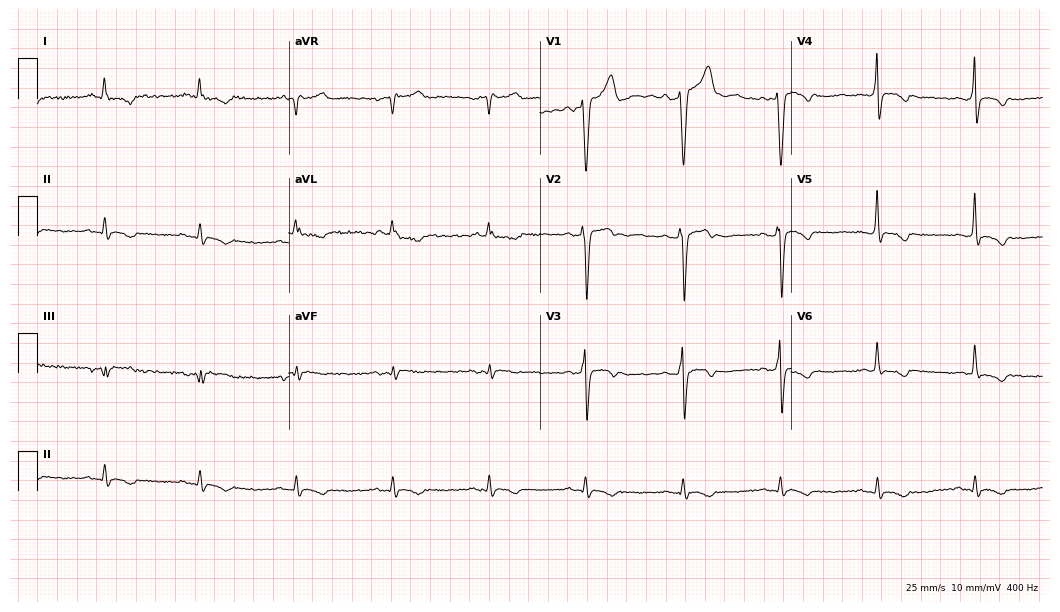
12-lead ECG from a 50-year-old male. Screened for six findings — first-degree AV block, right bundle branch block, left bundle branch block, sinus bradycardia, atrial fibrillation, sinus tachycardia — none is recorded.